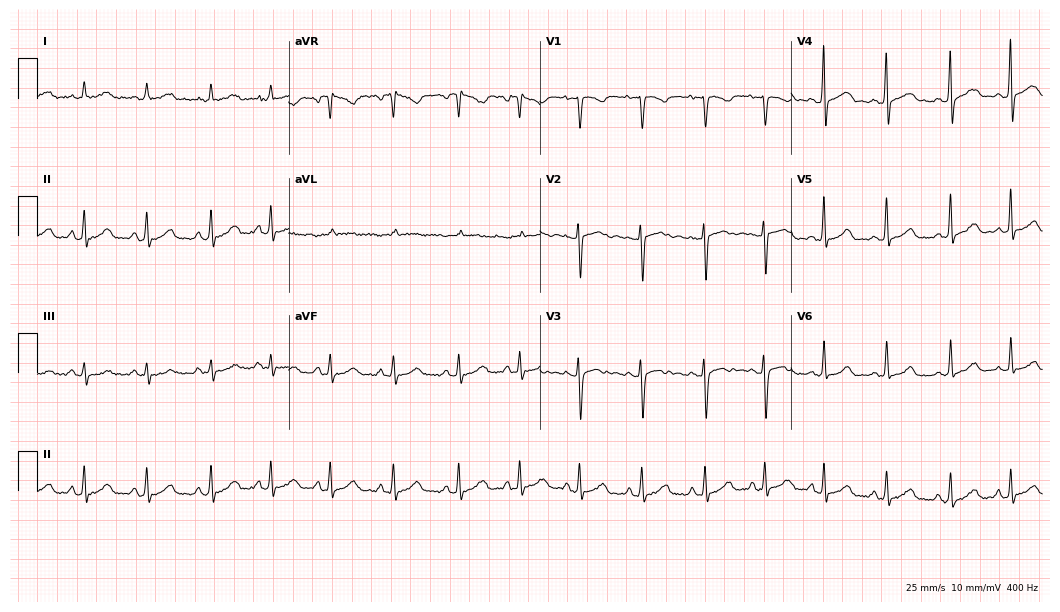
Resting 12-lead electrocardiogram (10.2-second recording at 400 Hz). Patient: a female, 18 years old. Read as a normal ECG.